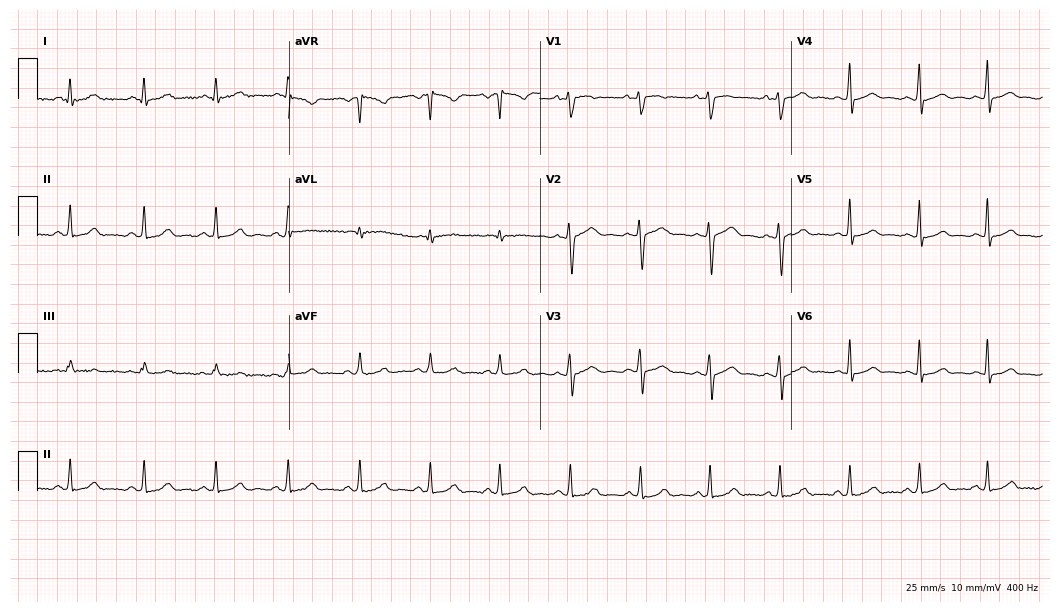
Resting 12-lead electrocardiogram (10.2-second recording at 400 Hz). Patient: a woman, 19 years old. Read as a normal ECG.